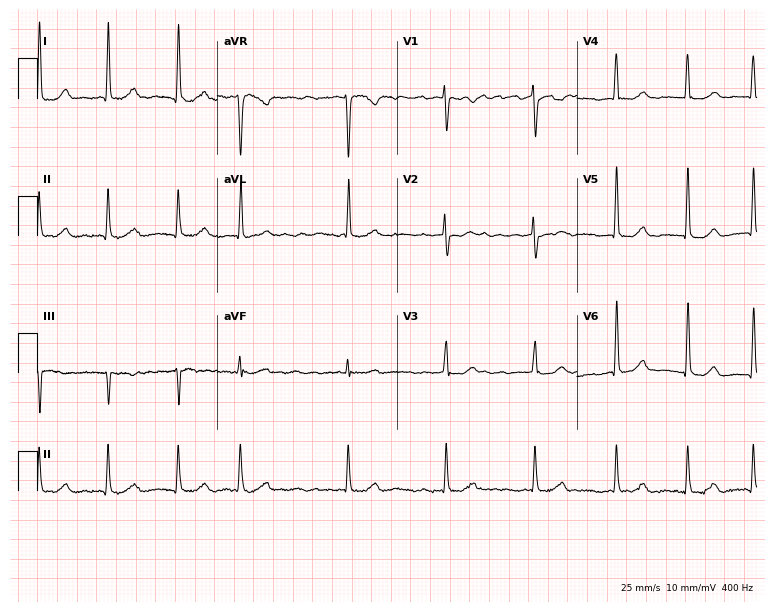
Standard 12-lead ECG recorded from a 61-year-old female. The tracing shows atrial fibrillation (AF).